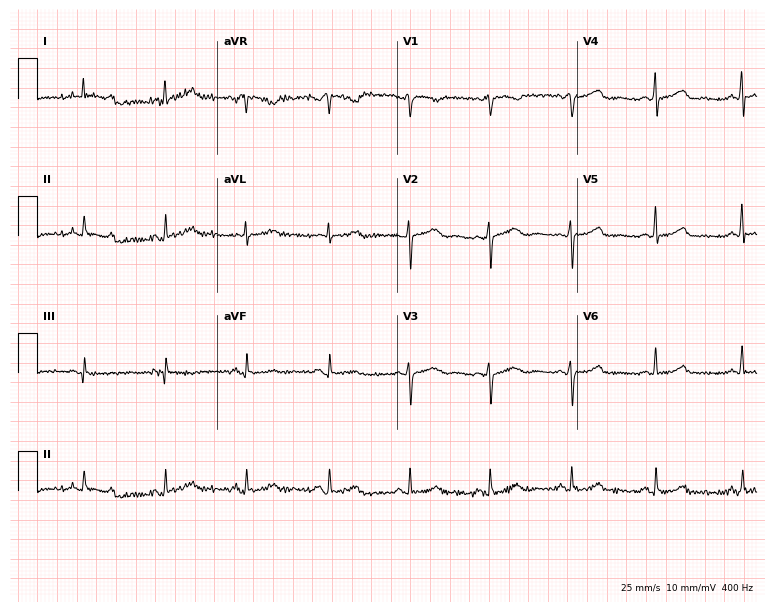
12-lead ECG from a woman, 49 years old (7.3-second recording at 400 Hz). Recorded interpretation: within normal limits.